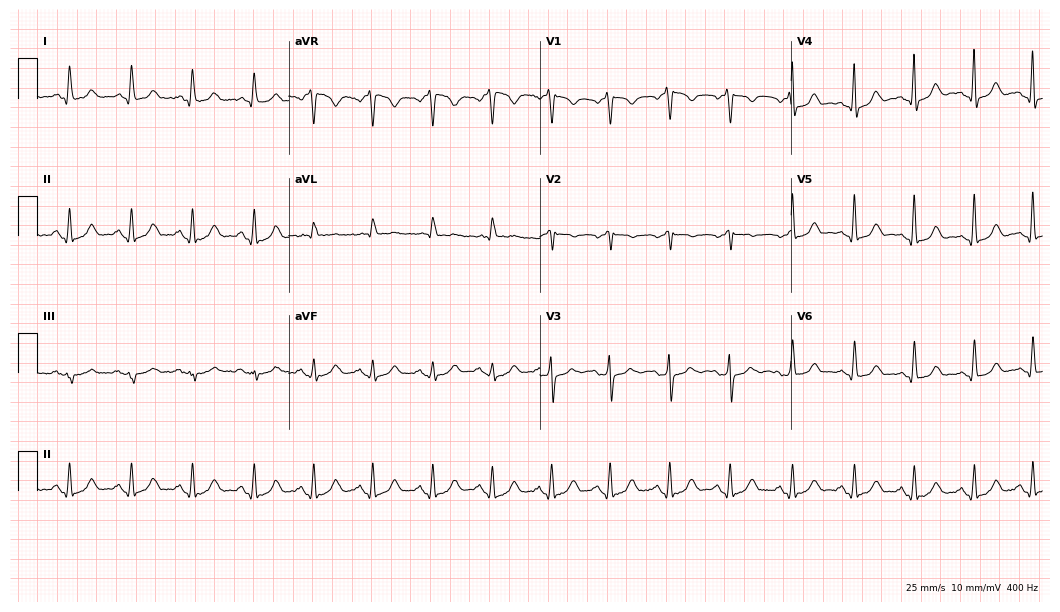
Resting 12-lead electrocardiogram. Patient: a 44-year-old woman. Read as a normal ECG.